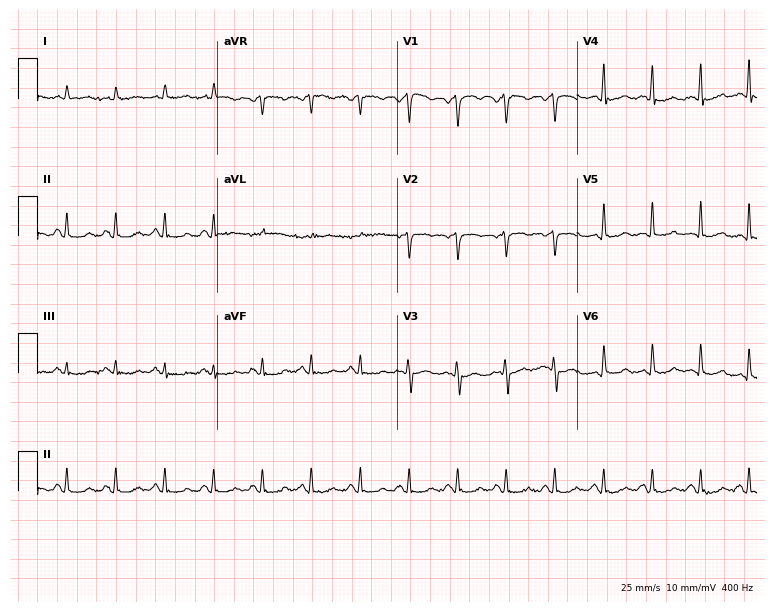
Resting 12-lead electrocardiogram. Patient: a male, 51 years old. The tracing shows sinus tachycardia (a sinus rate of 100 beats per minute or more).